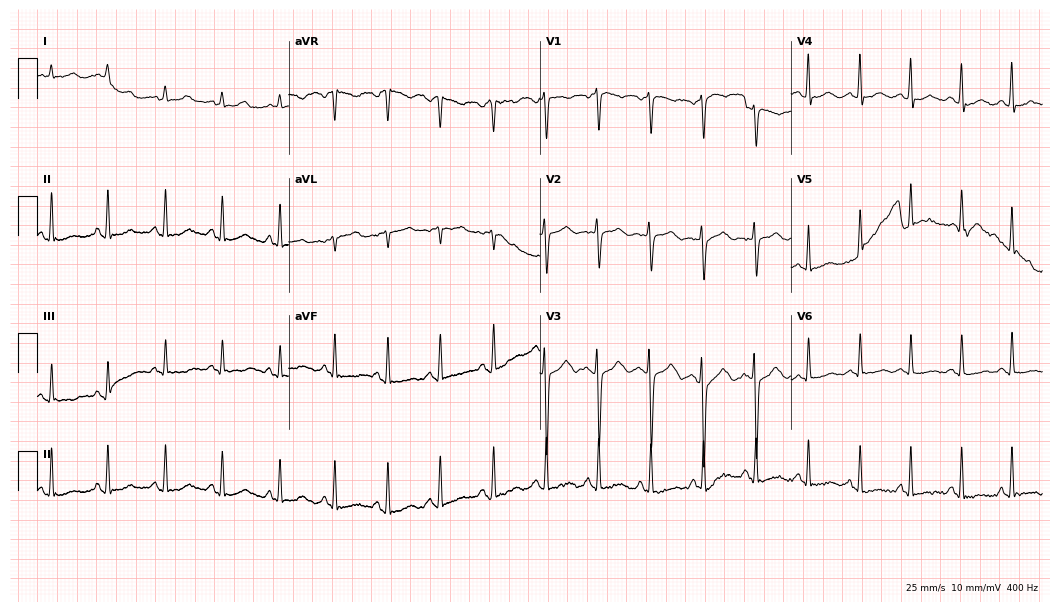
12-lead ECG from a female patient, 17 years old. Screened for six findings — first-degree AV block, right bundle branch block, left bundle branch block, sinus bradycardia, atrial fibrillation, sinus tachycardia — none is recorded.